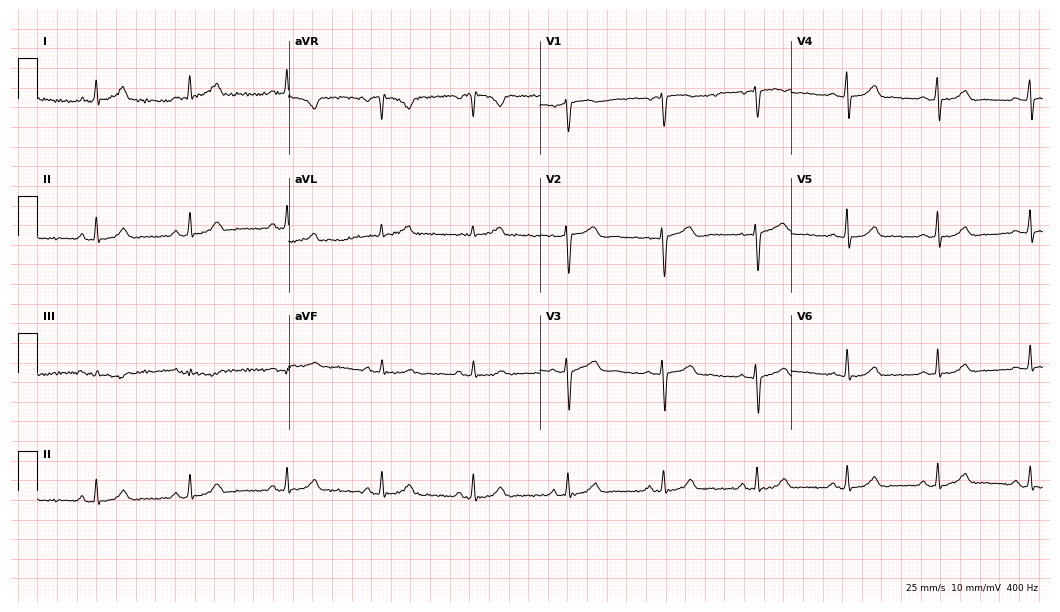
12-lead ECG from a 48-year-old female patient. Recorded interpretation: within normal limits.